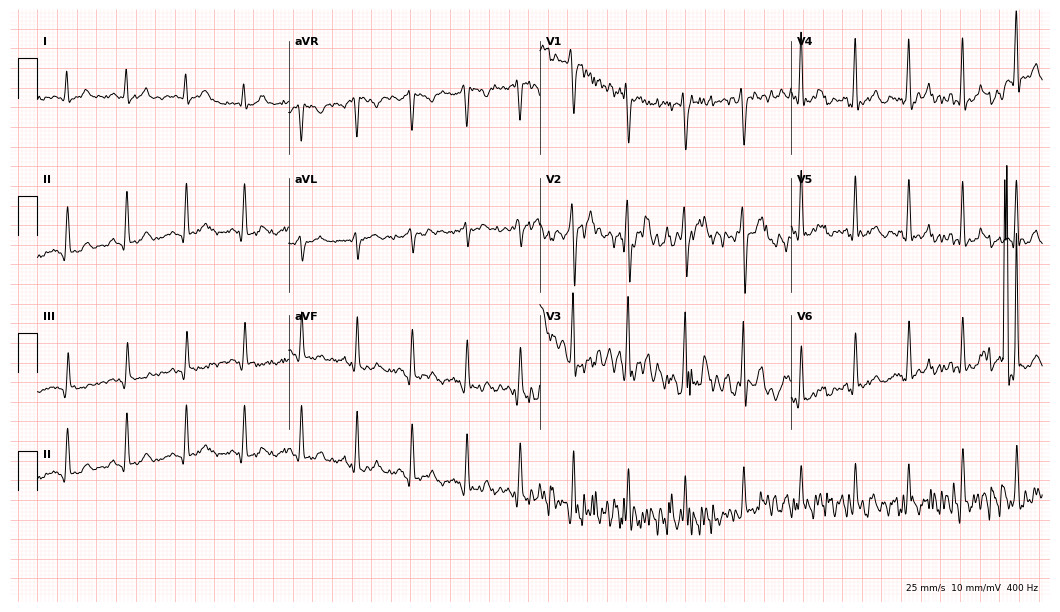
Resting 12-lead electrocardiogram (10.2-second recording at 400 Hz). Patient: a 33-year-old man. The tracing shows sinus tachycardia (a sinus rate of 100 beats per minute or more).